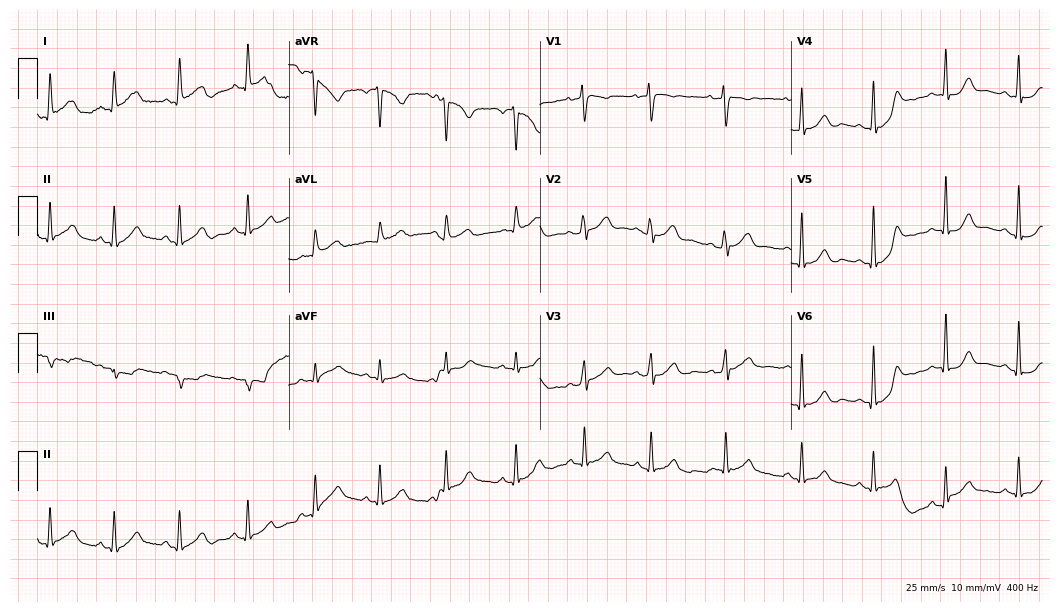
12-lead ECG from a 39-year-old female (10.2-second recording at 400 Hz). Recorded interpretation: within normal limits.